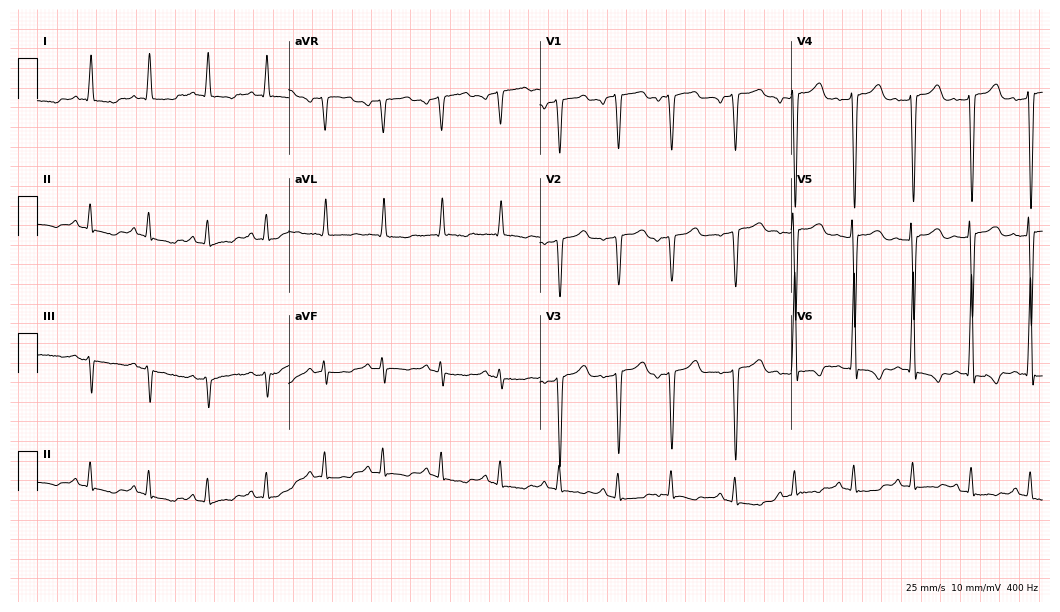
ECG — a man, 72 years old. Screened for six findings — first-degree AV block, right bundle branch block (RBBB), left bundle branch block (LBBB), sinus bradycardia, atrial fibrillation (AF), sinus tachycardia — none is recorded.